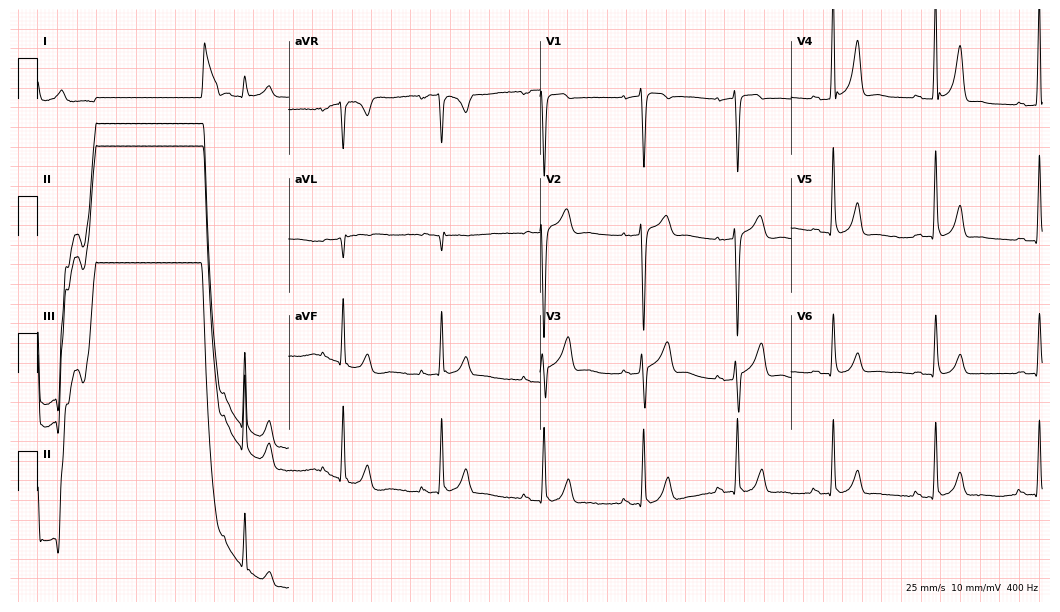
Resting 12-lead electrocardiogram (10.2-second recording at 400 Hz). Patient: a 51-year-old man. Read as a normal ECG.